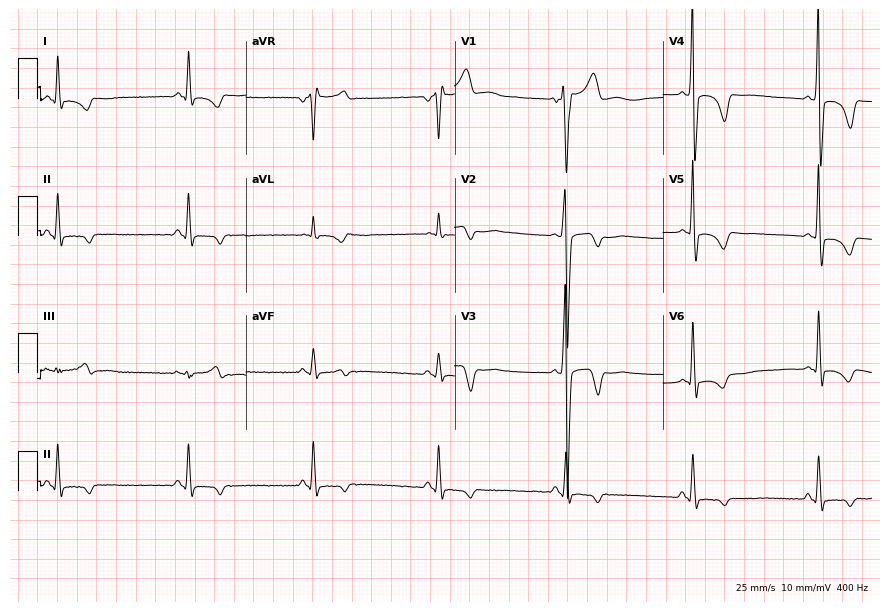
ECG (8.5-second recording at 400 Hz) — a 36-year-old male. Screened for six findings — first-degree AV block, right bundle branch block, left bundle branch block, sinus bradycardia, atrial fibrillation, sinus tachycardia — none is recorded.